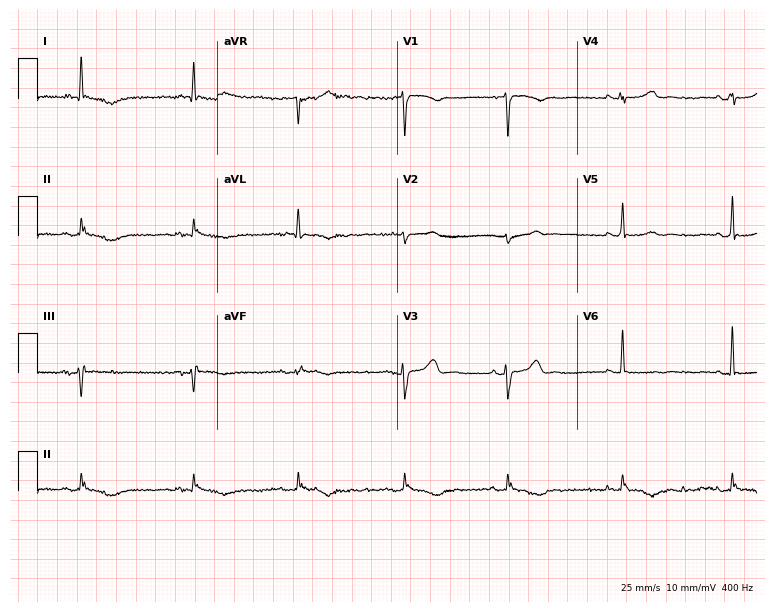
Standard 12-lead ECG recorded from a 50-year-old woman. None of these six findings is recorded: first-degree AV block, right bundle branch block, left bundle branch block, sinus bradycardia, atrial fibrillation, sinus tachycardia. Other findings, if any, are not listed.